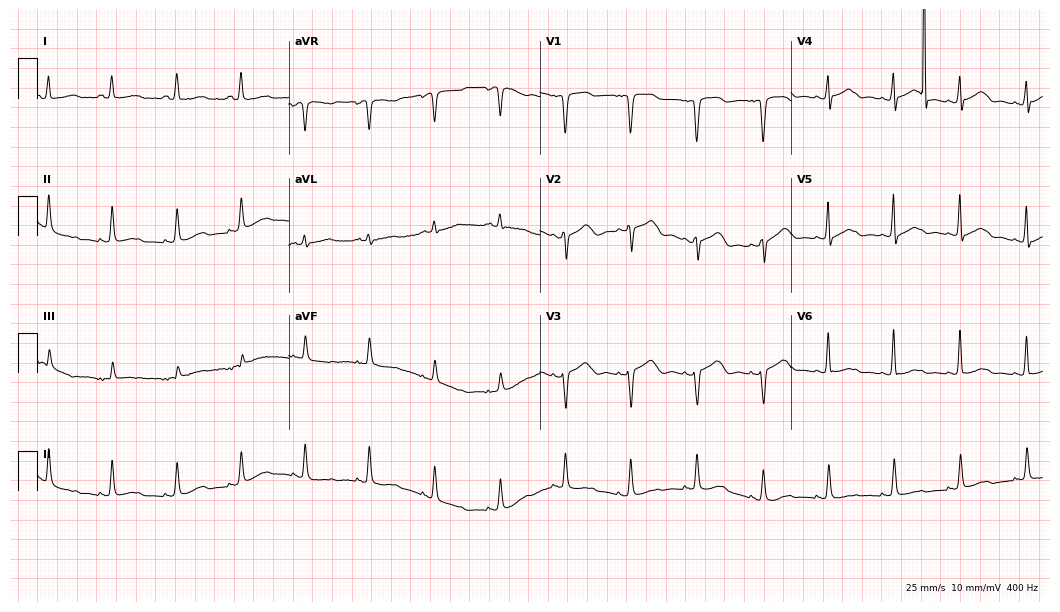
ECG — a woman, 64 years old. Screened for six findings — first-degree AV block, right bundle branch block, left bundle branch block, sinus bradycardia, atrial fibrillation, sinus tachycardia — none is recorded. Findings outside these six are not listed.